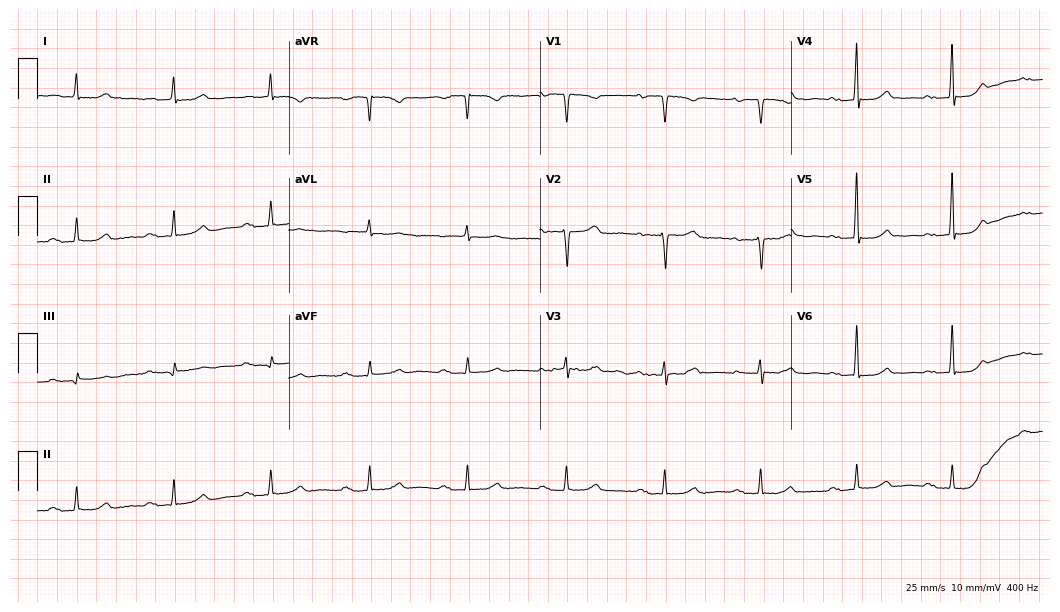
12-lead ECG from a female, 78 years old (10.2-second recording at 400 Hz). Shows first-degree AV block.